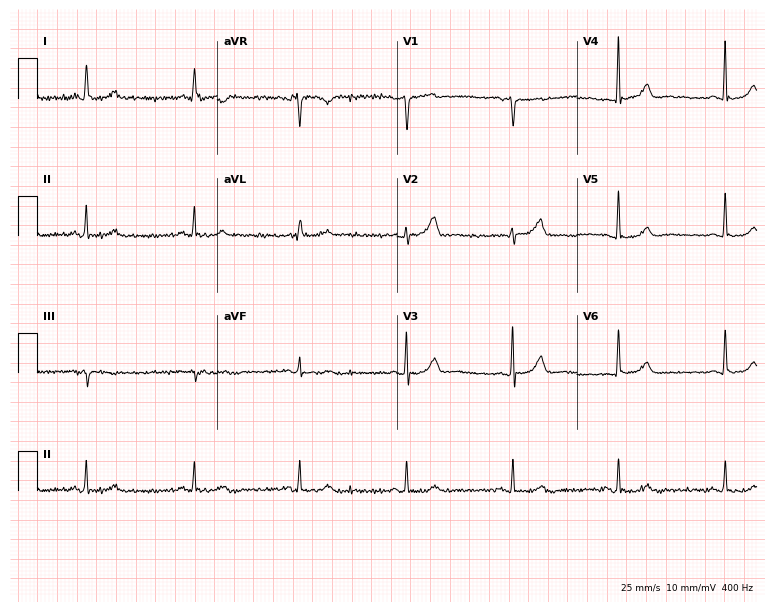
Resting 12-lead electrocardiogram (7.3-second recording at 400 Hz). Patient: a female, 55 years old. Read as a normal ECG.